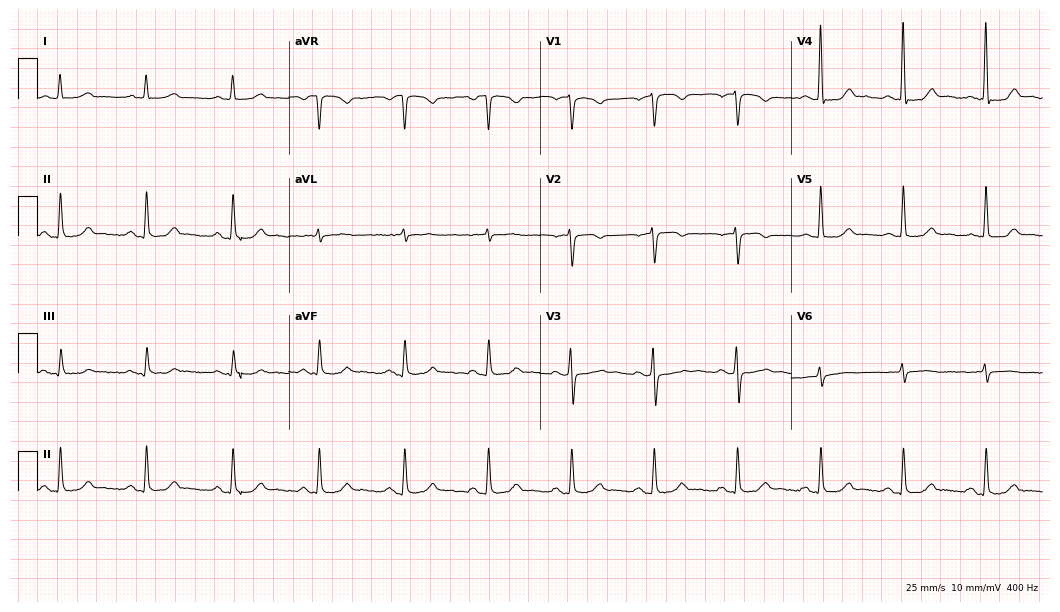
12-lead ECG (10.2-second recording at 400 Hz) from a female, 66 years old. Labelled as a normal ECG.